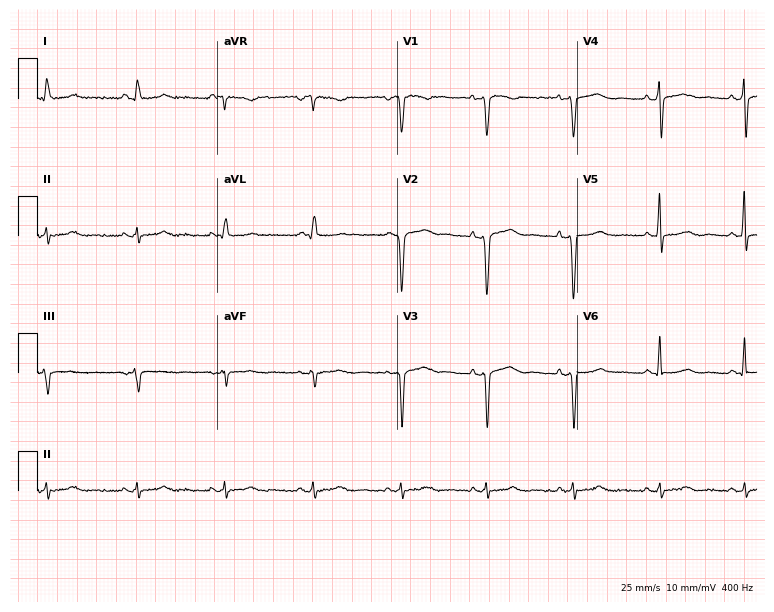
ECG — a 42-year-old female. Screened for six findings — first-degree AV block, right bundle branch block, left bundle branch block, sinus bradycardia, atrial fibrillation, sinus tachycardia — none is recorded. Only these six findings were labelled.